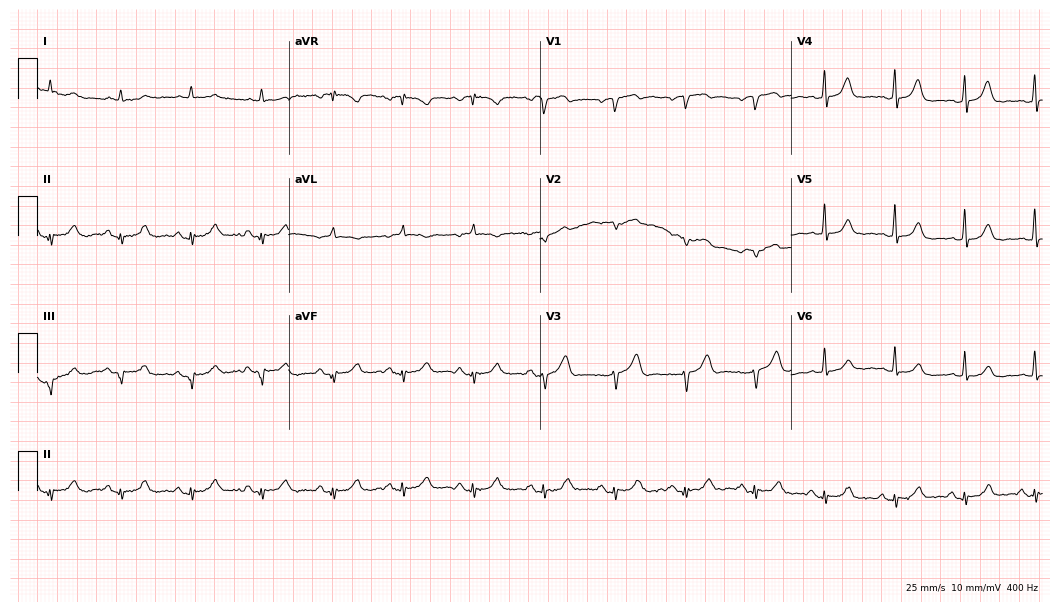
Standard 12-lead ECG recorded from a 75-year-old male patient. None of these six findings is recorded: first-degree AV block, right bundle branch block, left bundle branch block, sinus bradycardia, atrial fibrillation, sinus tachycardia. Other findings, if any, are not listed.